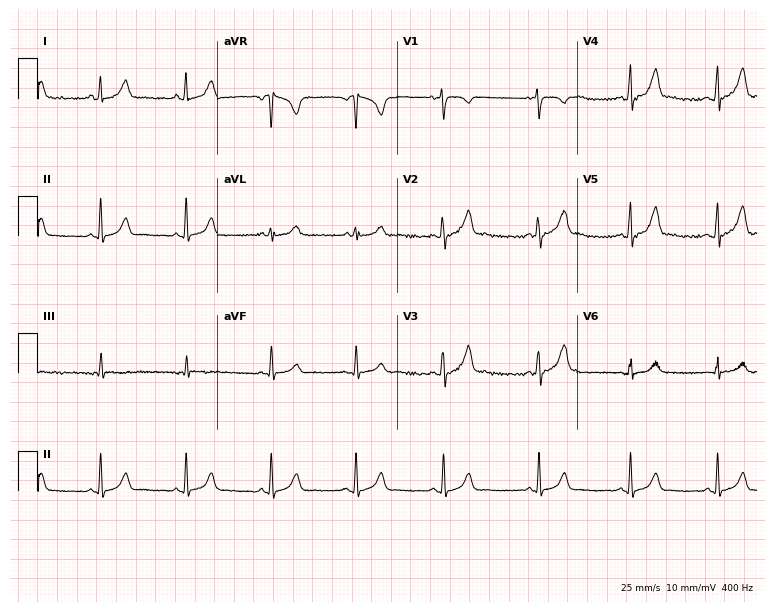
Standard 12-lead ECG recorded from a woman, 18 years old (7.3-second recording at 400 Hz). Read as a normal ECG.